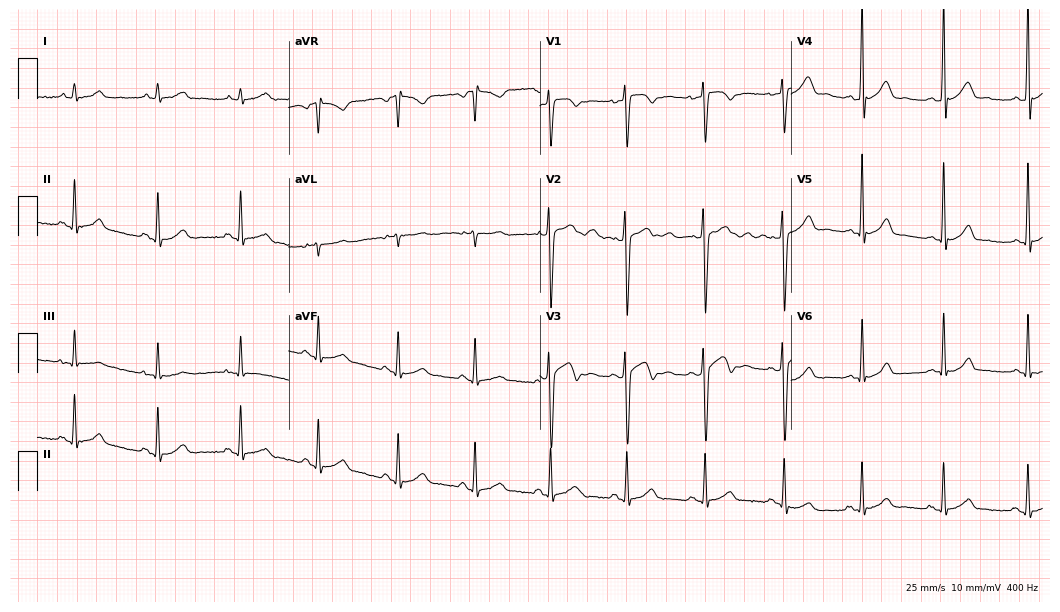
ECG (10.2-second recording at 400 Hz) — a 22-year-old male patient. Screened for six findings — first-degree AV block, right bundle branch block, left bundle branch block, sinus bradycardia, atrial fibrillation, sinus tachycardia — none is recorded.